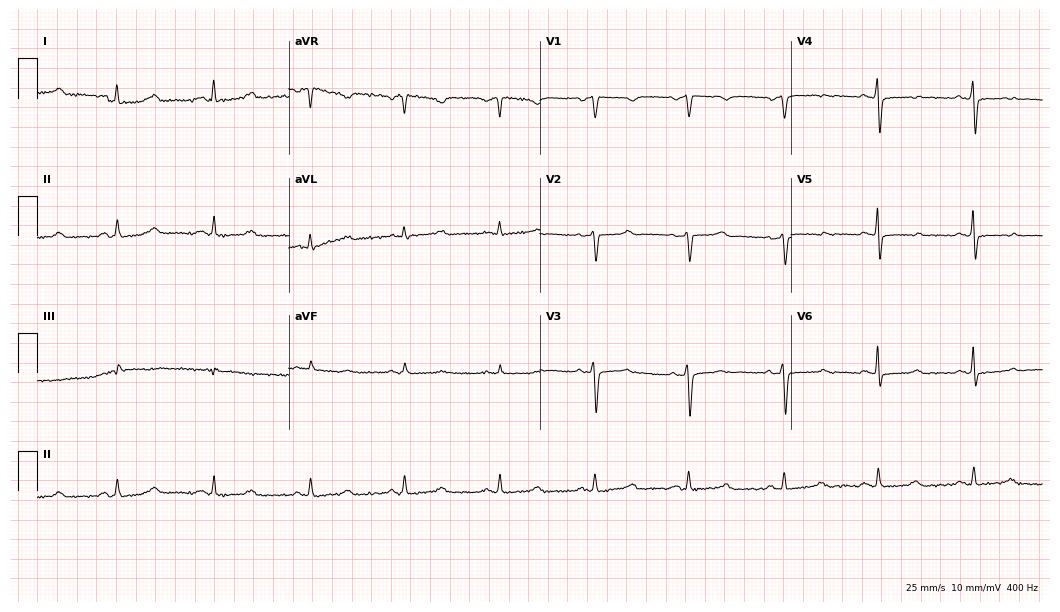
ECG — a female, 62 years old. Screened for six findings — first-degree AV block, right bundle branch block, left bundle branch block, sinus bradycardia, atrial fibrillation, sinus tachycardia — none is recorded.